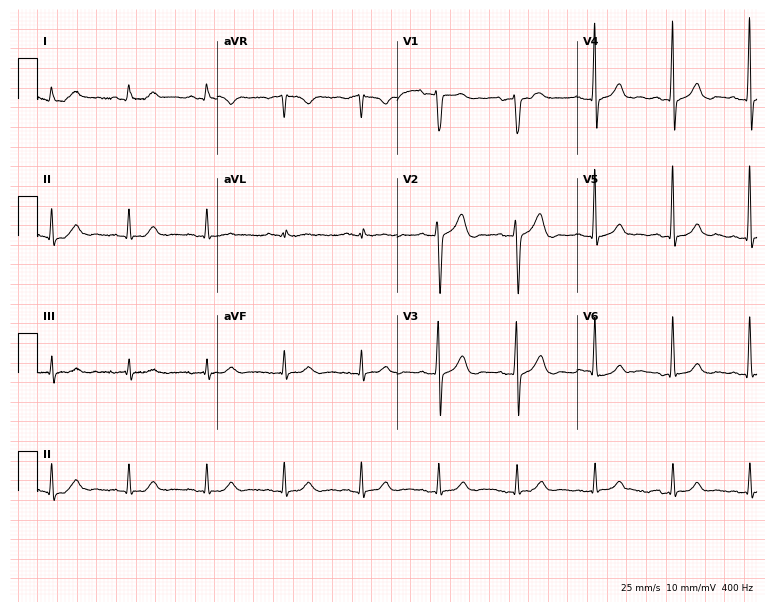
Resting 12-lead electrocardiogram. Patient: a male, 63 years old. None of these six findings is recorded: first-degree AV block, right bundle branch block (RBBB), left bundle branch block (LBBB), sinus bradycardia, atrial fibrillation (AF), sinus tachycardia.